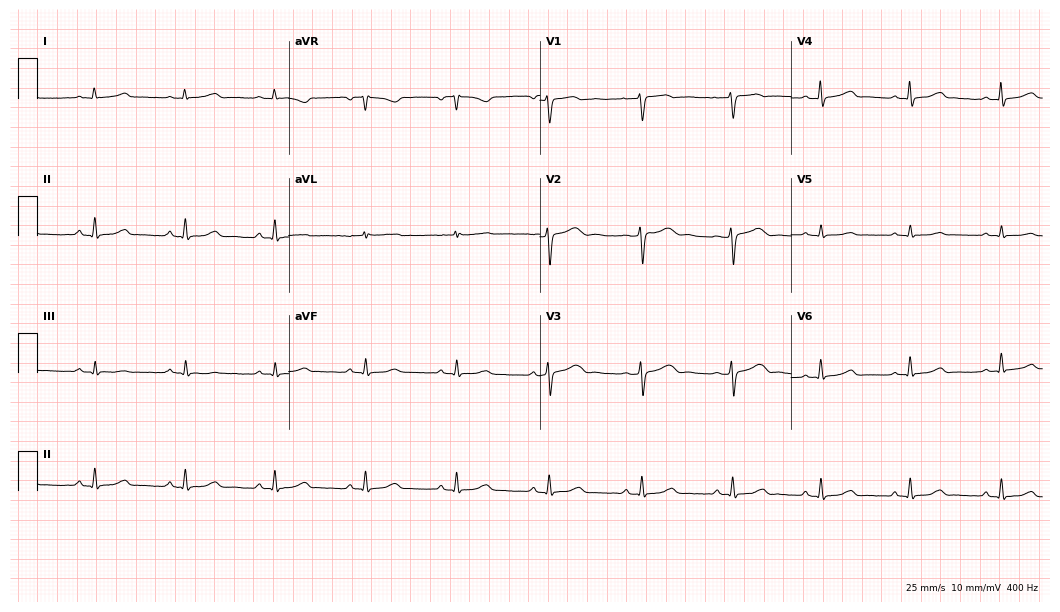
Standard 12-lead ECG recorded from a female patient, 44 years old (10.2-second recording at 400 Hz). Read as a normal ECG.